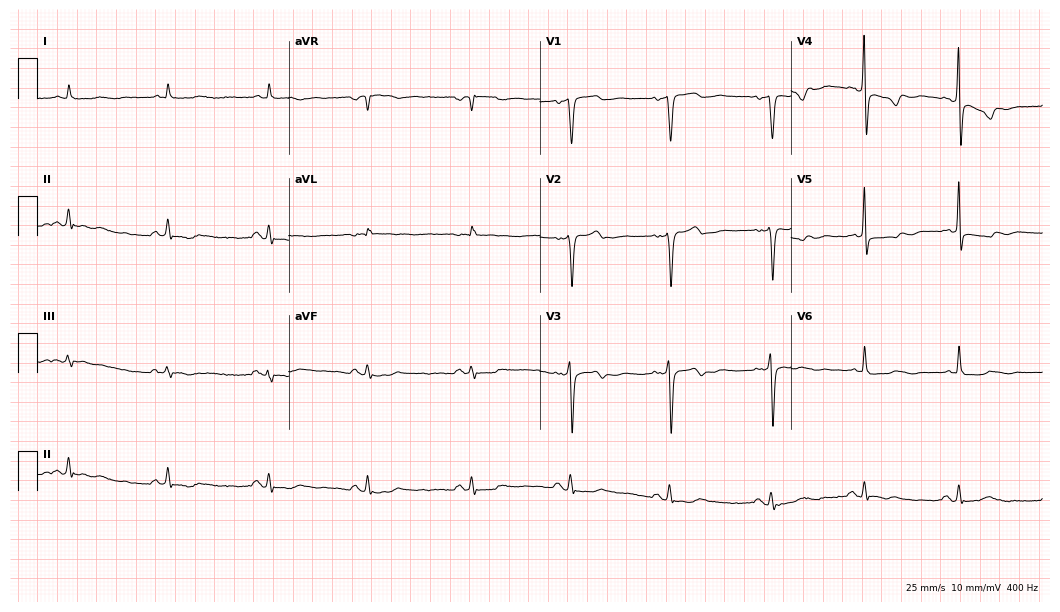
12-lead ECG from a 71-year-old male patient. Screened for six findings — first-degree AV block, right bundle branch block, left bundle branch block, sinus bradycardia, atrial fibrillation, sinus tachycardia — none is recorded.